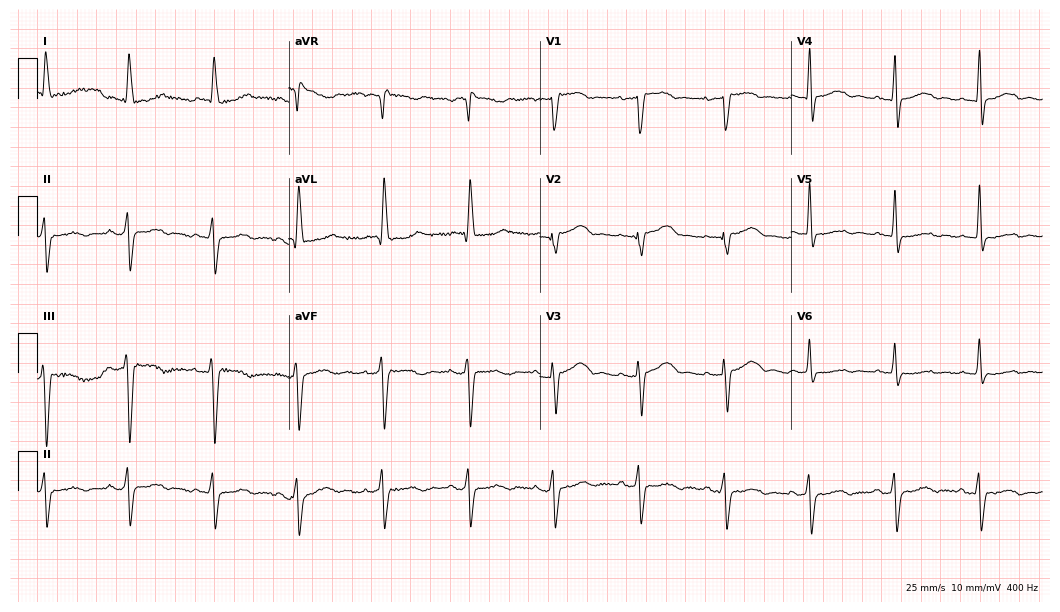
12-lead ECG from a male, 80 years old. Screened for six findings — first-degree AV block, right bundle branch block, left bundle branch block, sinus bradycardia, atrial fibrillation, sinus tachycardia — none is recorded. Only these six findings were labelled.